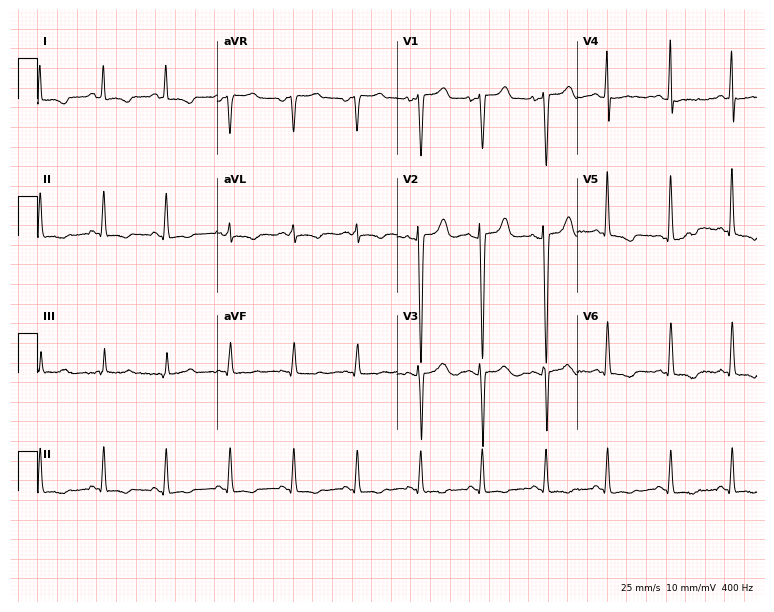
Standard 12-lead ECG recorded from a 38-year-old female. None of these six findings is recorded: first-degree AV block, right bundle branch block, left bundle branch block, sinus bradycardia, atrial fibrillation, sinus tachycardia. Only these six findings were labelled.